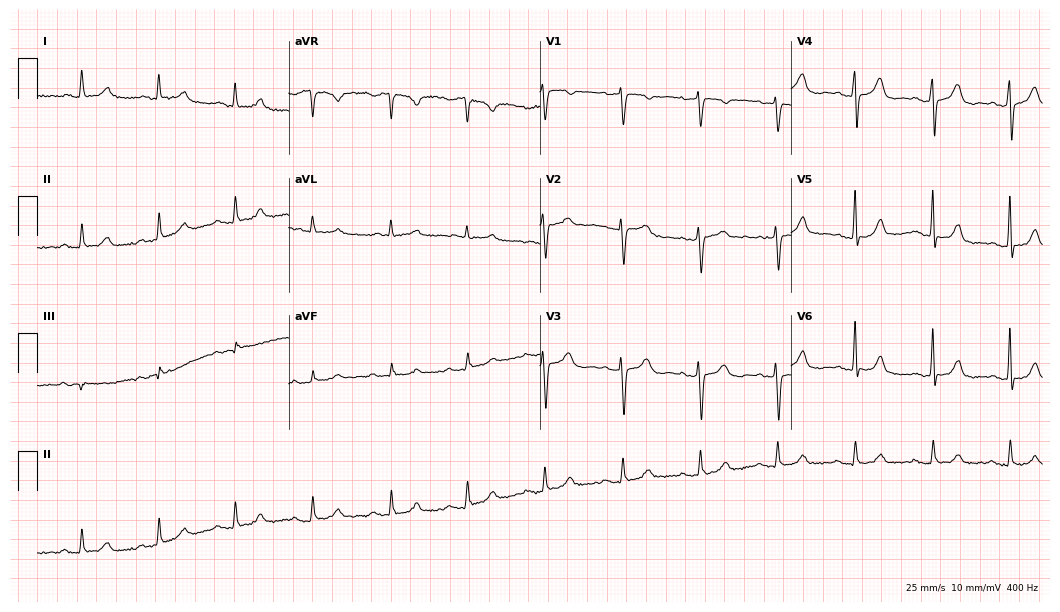
12-lead ECG from a 75-year-old male patient. Recorded interpretation: within normal limits.